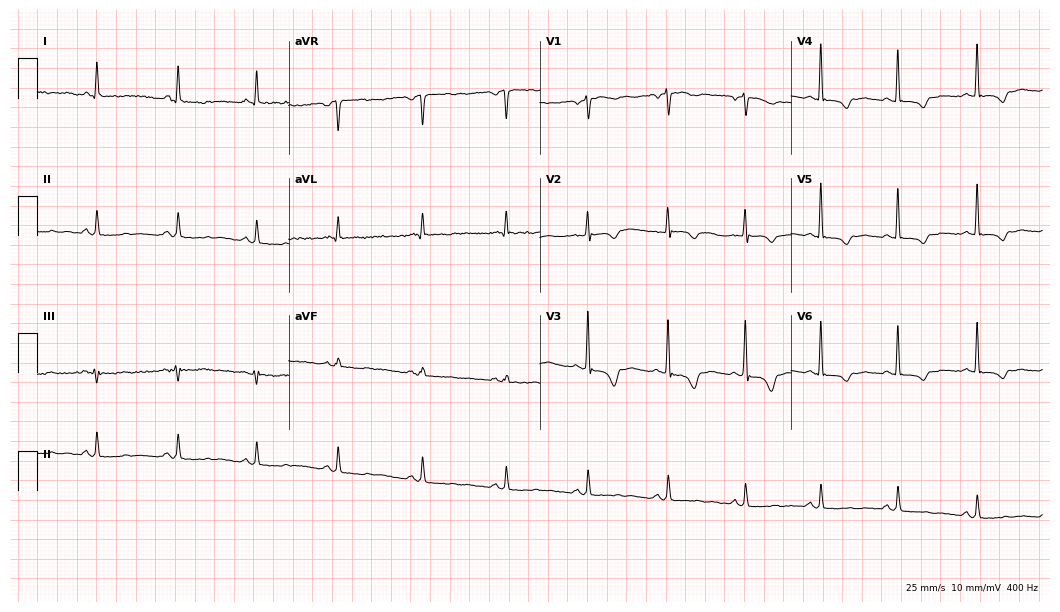
Resting 12-lead electrocardiogram (10.2-second recording at 400 Hz). Patient: a 53-year-old woman. None of these six findings is recorded: first-degree AV block, right bundle branch block, left bundle branch block, sinus bradycardia, atrial fibrillation, sinus tachycardia. Other findings, if any, are not listed.